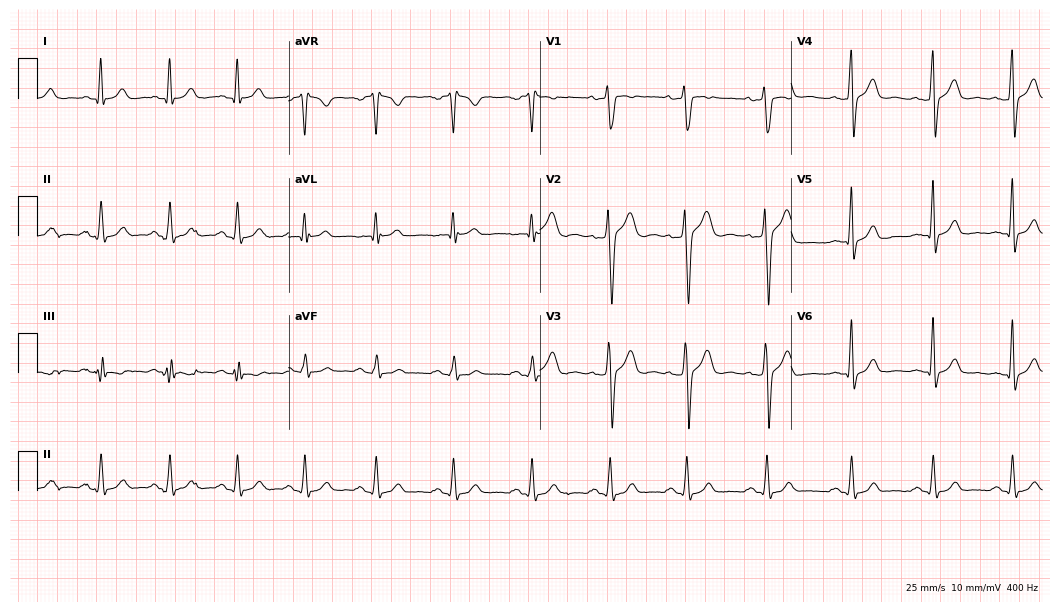
Resting 12-lead electrocardiogram. Patient: a man, 33 years old. None of these six findings is recorded: first-degree AV block, right bundle branch block, left bundle branch block, sinus bradycardia, atrial fibrillation, sinus tachycardia.